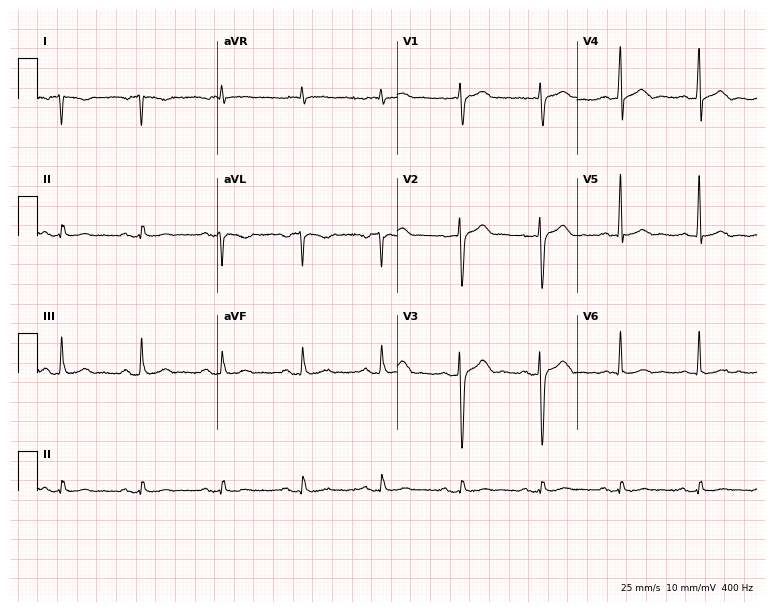
Resting 12-lead electrocardiogram (7.3-second recording at 400 Hz). Patient: a man, 61 years old. None of these six findings is recorded: first-degree AV block, right bundle branch block, left bundle branch block, sinus bradycardia, atrial fibrillation, sinus tachycardia. Findings outside these six are not listed.